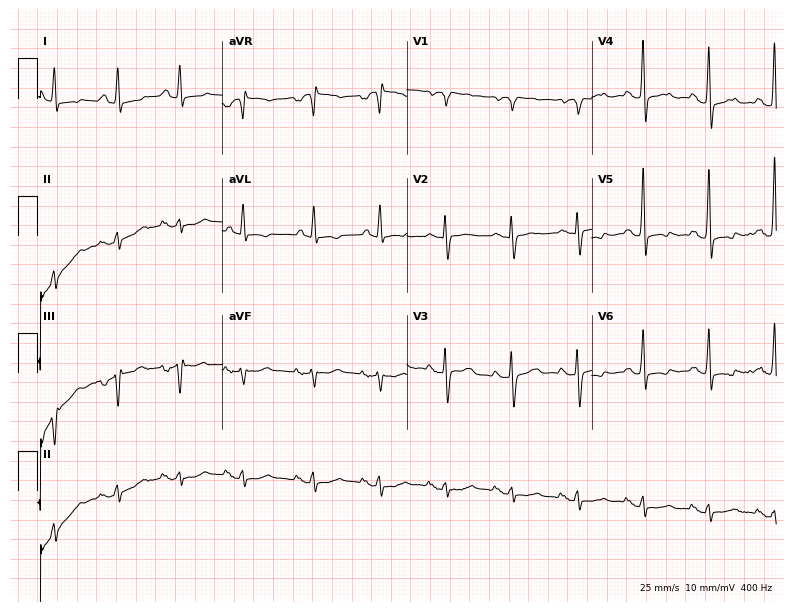
Standard 12-lead ECG recorded from a 73-year-old man. None of these six findings is recorded: first-degree AV block, right bundle branch block, left bundle branch block, sinus bradycardia, atrial fibrillation, sinus tachycardia.